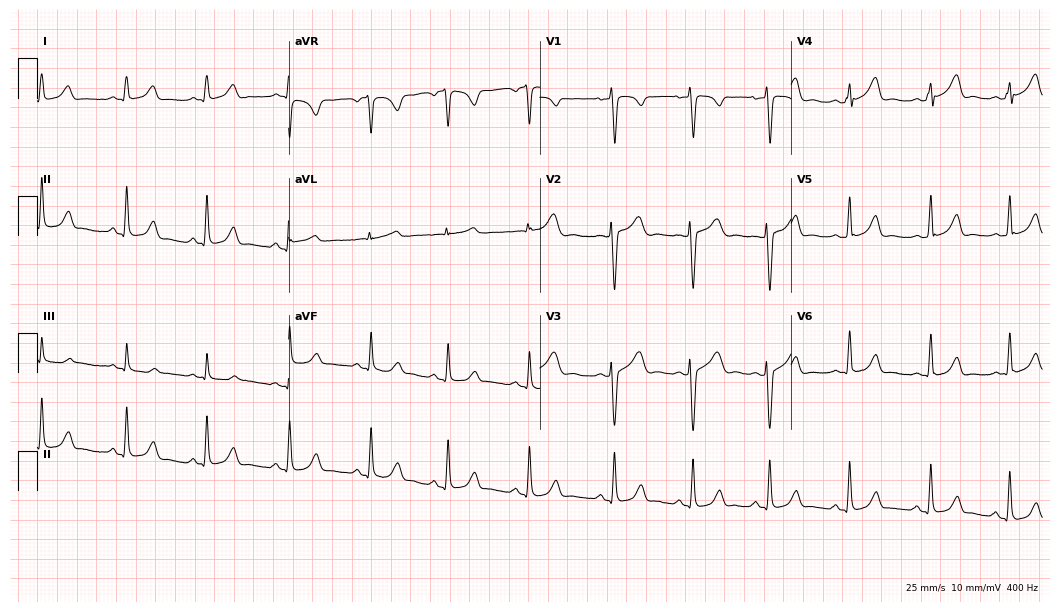
Standard 12-lead ECG recorded from a 27-year-old female. Read as a normal ECG.